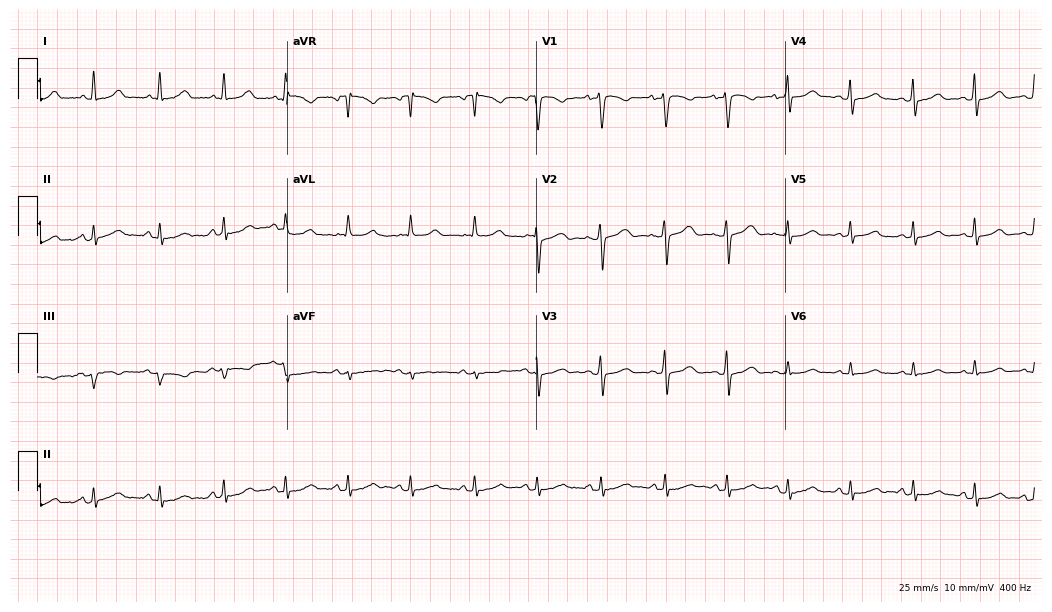
ECG — a 44-year-old female. Labelled as a normal ECG.